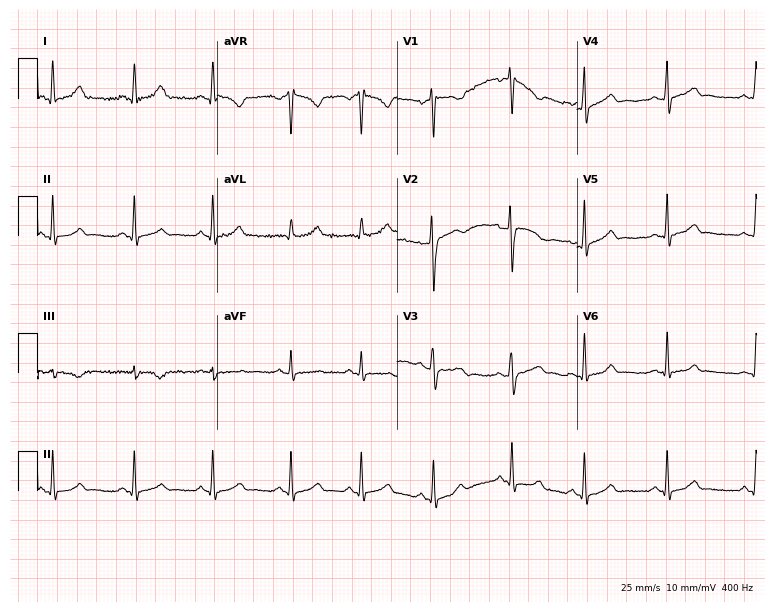
Resting 12-lead electrocardiogram. Patient: a female, 26 years old. Read as a normal ECG.